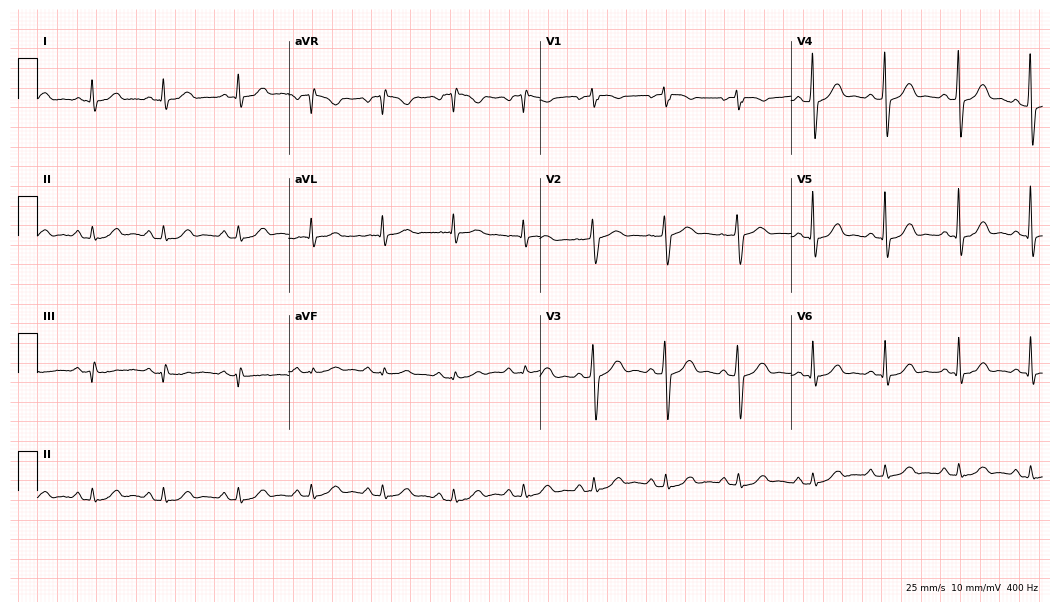
Resting 12-lead electrocardiogram (10.2-second recording at 400 Hz). Patient: a 71-year-old male. Read as a normal ECG.